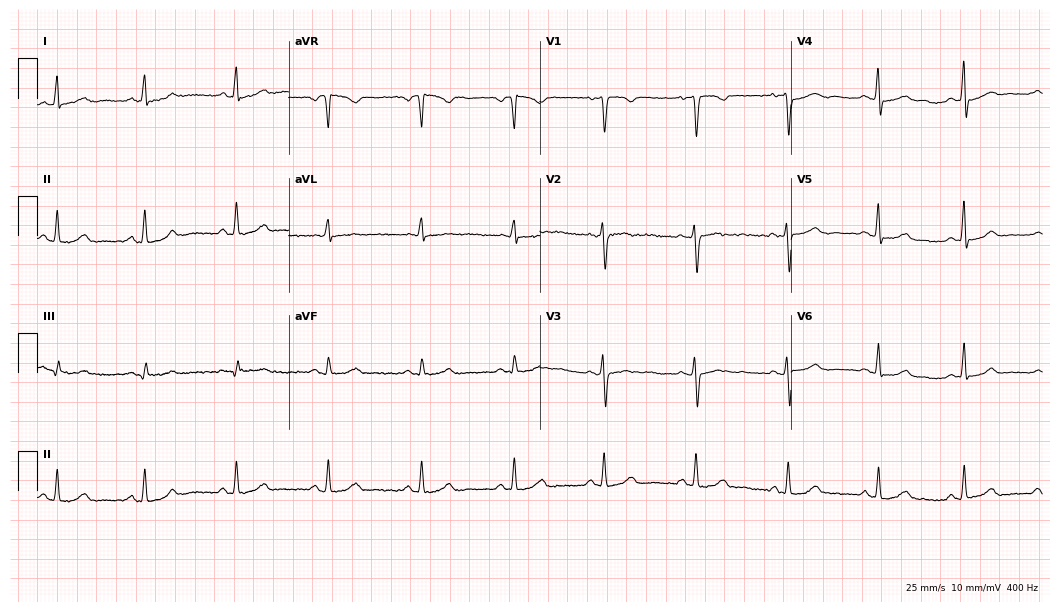
12-lead ECG from a 39-year-old female (10.2-second recording at 400 Hz). Recorded interpretation: within normal limits.